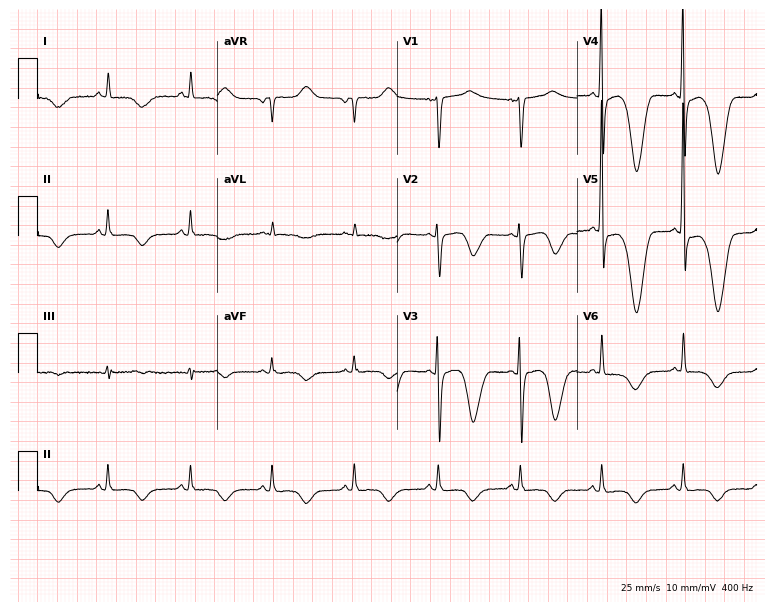
Electrocardiogram (7.3-second recording at 400 Hz), a 74-year-old woman. Overall reading on record: normal ECG.